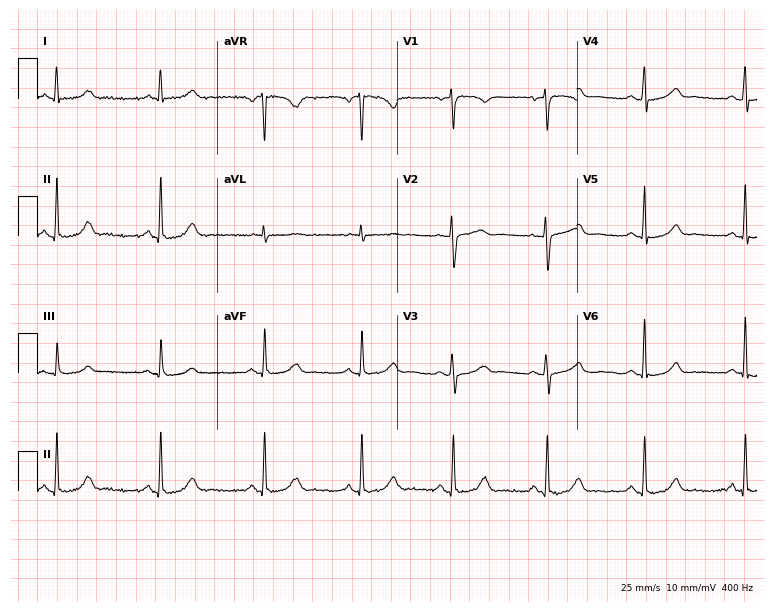
ECG (7.3-second recording at 400 Hz) — a woman, 51 years old. Screened for six findings — first-degree AV block, right bundle branch block, left bundle branch block, sinus bradycardia, atrial fibrillation, sinus tachycardia — none is recorded.